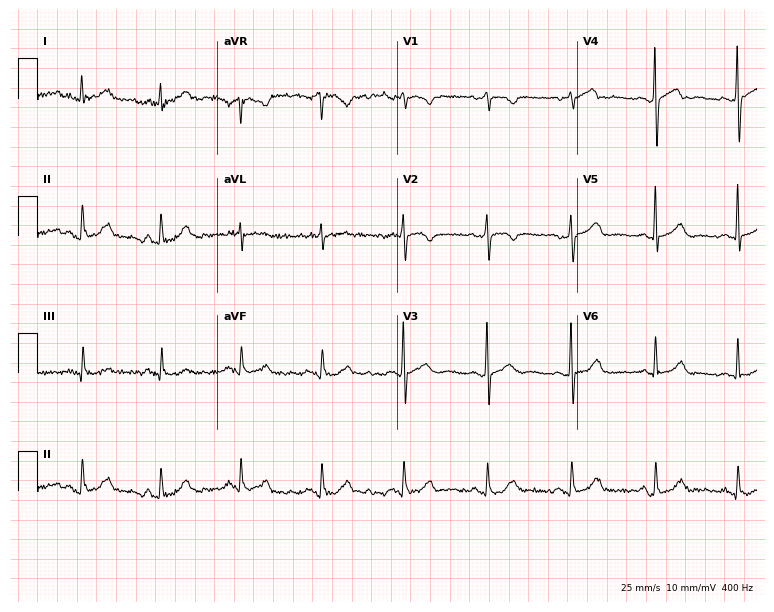
Standard 12-lead ECG recorded from a female patient, 49 years old. Read as a normal ECG.